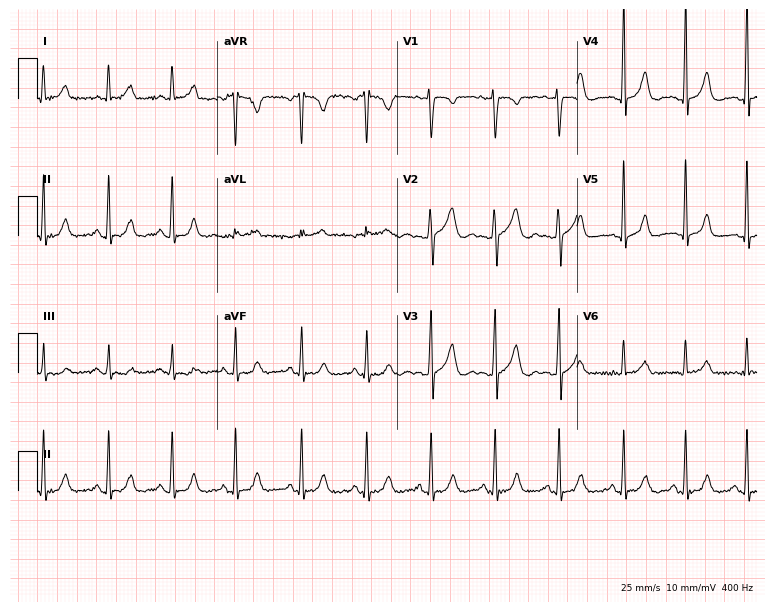
Standard 12-lead ECG recorded from a female patient, 31 years old (7.3-second recording at 400 Hz). Read as a normal ECG.